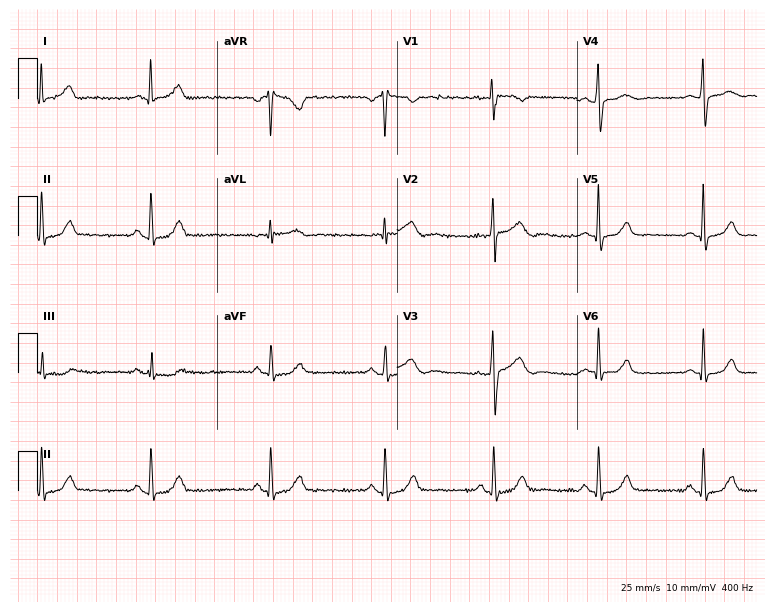
12-lead ECG from a 40-year-old female (7.3-second recording at 400 Hz). Recorded interpretation: within normal limits.